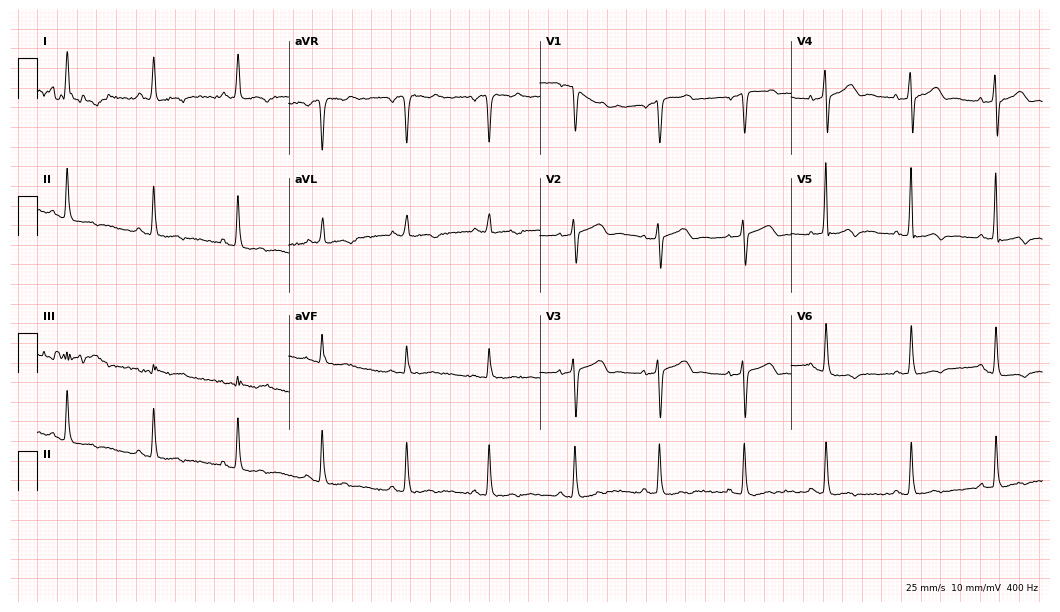
ECG — a female, 60 years old. Screened for six findings — first-degree AV block, right bundle branch block, left bundle branch block, sinus bradycardia, atrial fibrillation, sinus tachycardia — none is recorded. Other findings, if any, are not listed.